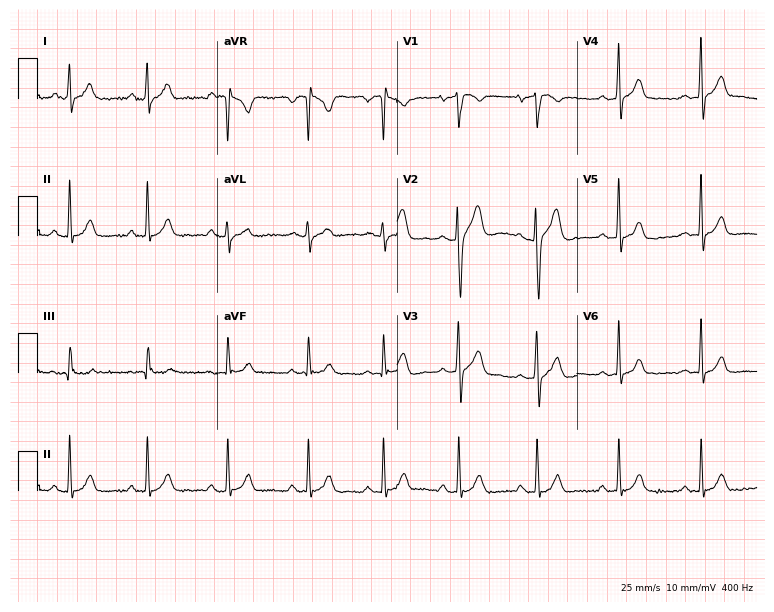
12-lead ECG from a man, 25 years old (7.3-second recording at 400 Hz). No first-degree AV block, right bundle branch block (RBBB), left bundle branch block (LBBB), sinus bradycardia, atrial fibrillation (AF) or sinus tachycardia recorded for this tracing.